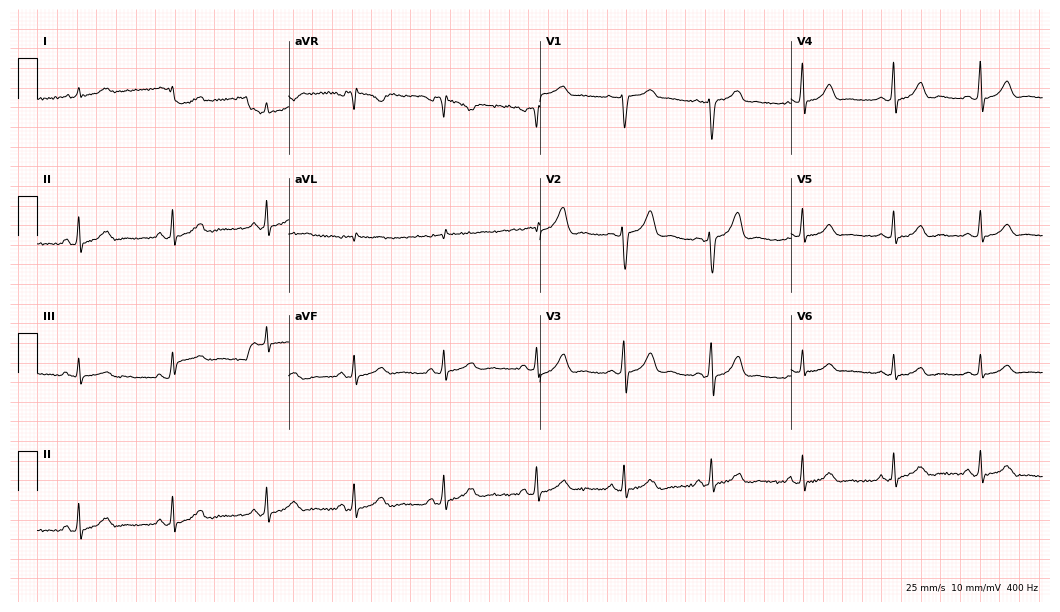
12-lead ECG (10.2-second recording at 400 Hz) from a 40-year-old female. Labelled as a normal ECG.